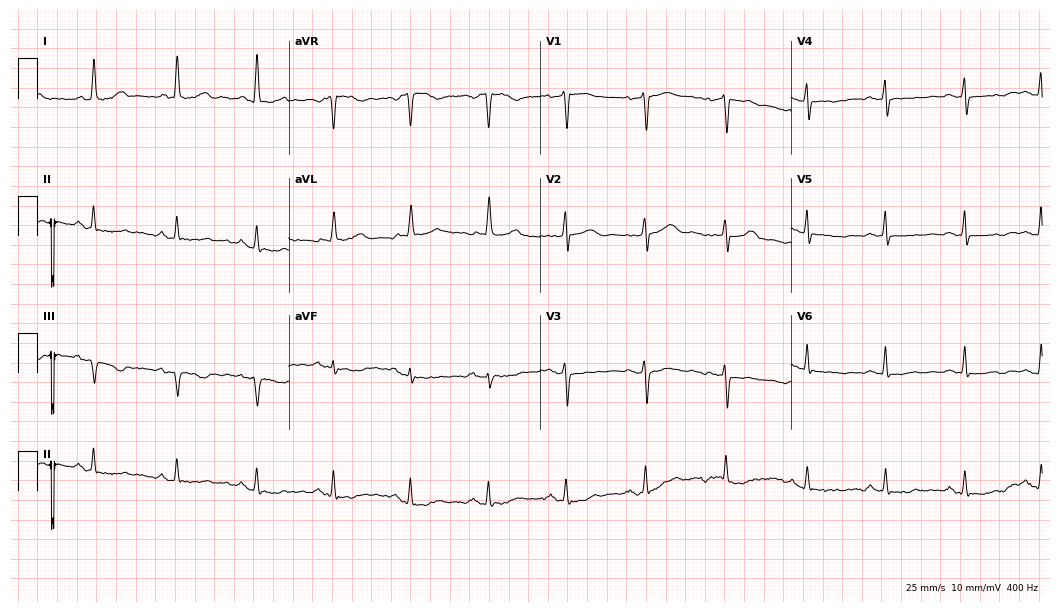
Standard 12-lead ECG recorded from a 75-year-old female patient (10.2-second recording at 400 Hz). None of these six findings is recorded: first-degree AV block, right bundle branch block (RBBB), left bundle branch block (LBBB), sinus bradycardia, atrial fibrillation (AF), sinus tachycardia.